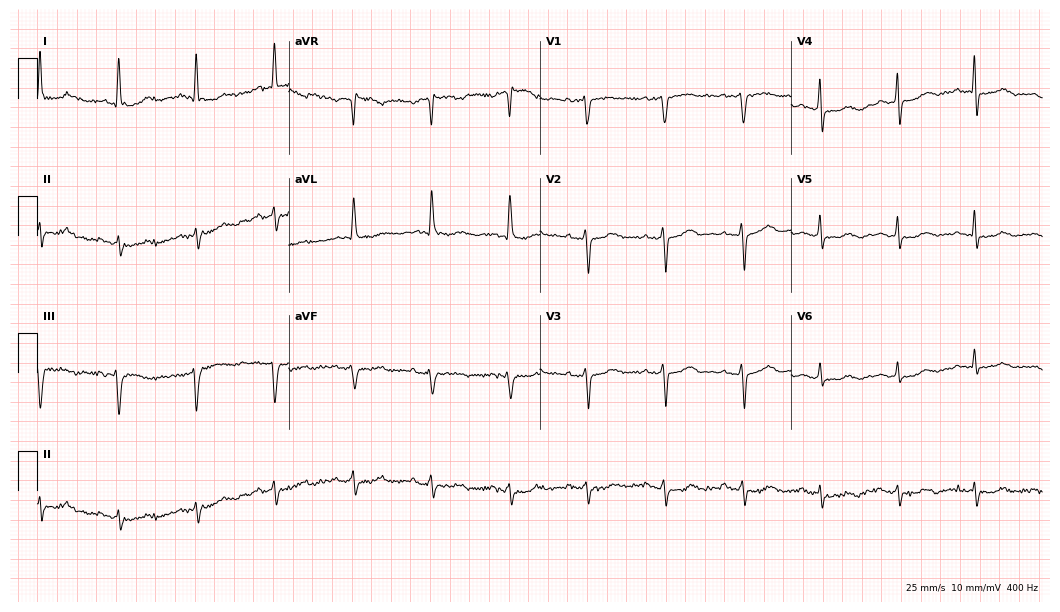
Resting 12-lead electrocardiogram. Patient: a female, 85 years old. None of these six findings is recorded: first-degree AV block, right bundle branch block, left bundle branch block, sinus bradycardia, atrial fibrillation, sinus tachycardia.